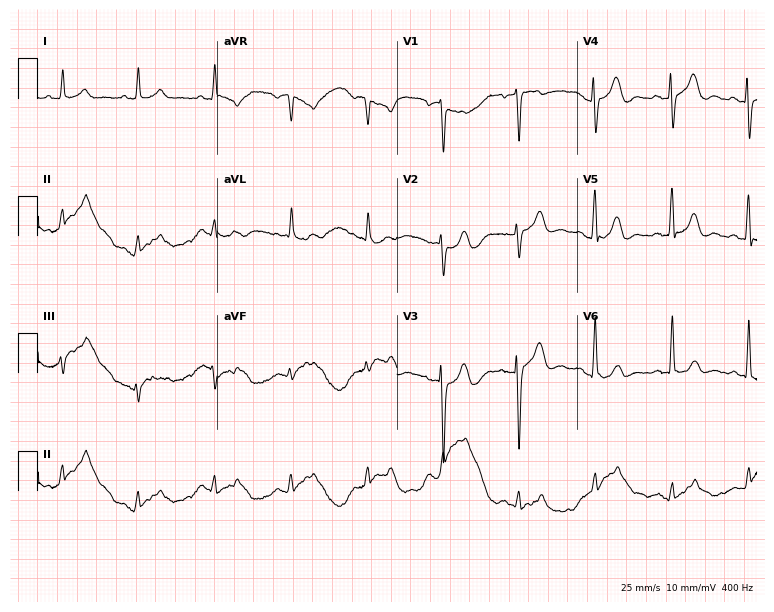
Electrocardiogram, a male, 60 years old. Of the six screened findings (first-degree AV block, right bundle branch block, left bundle branch block, sinus bradycardia, atrial fibrillation, sinus tachycardia), none is recorded.